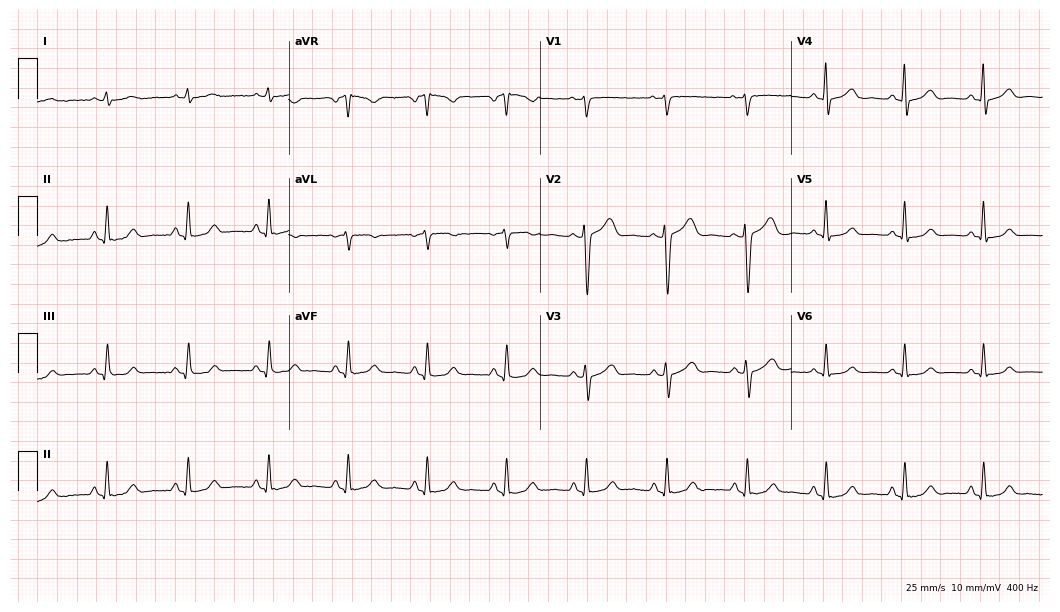
ECG (10.2-second recording at 400 Hz) — a 53-year-old female patient. Labelled as a normal ECG.